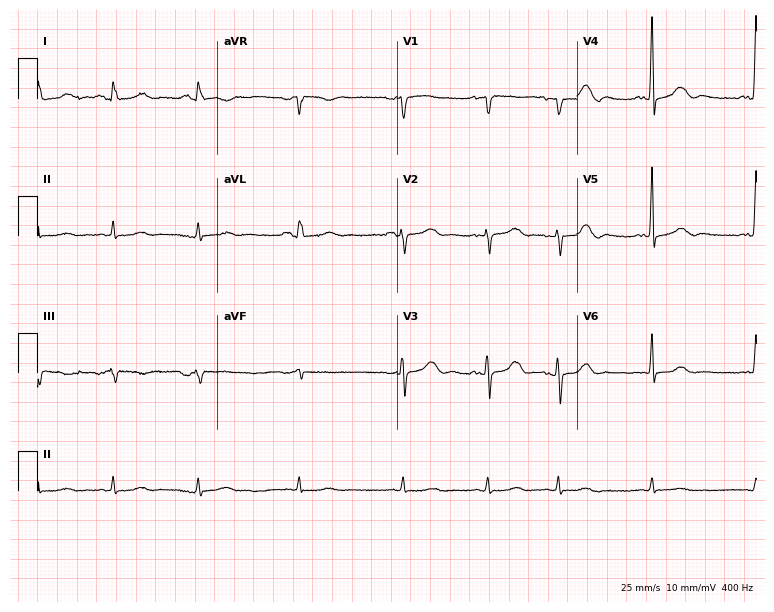
12-lead ECG (7.3-second recording at 400 Hz) from a 70-year-old female. Screened for six findings — first-degree AV block, right bundle branch block (RBBB), left bundle branch block (LBBB), sinus bradycardia, atrial fibrillation (AF), sinus tachycardia — none is recorded. Findings outside these six are not listed.